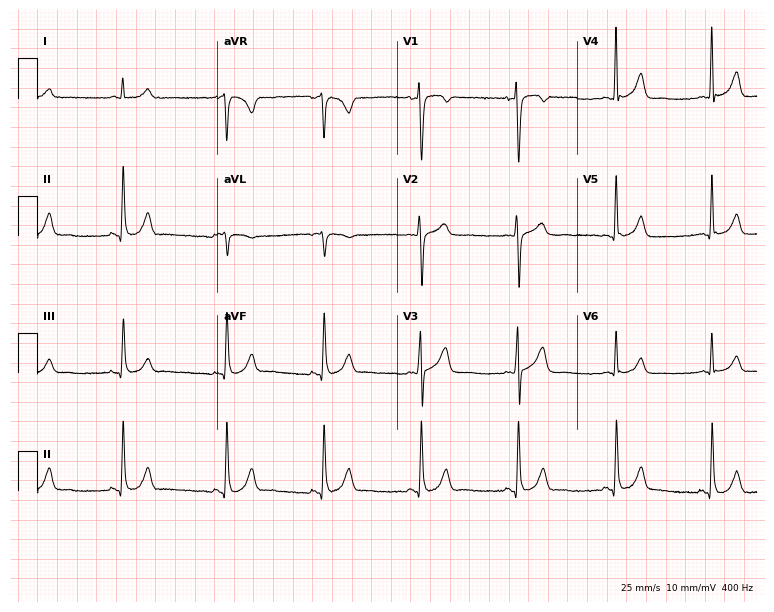
Resting 12-lead electrocardiogram (7.3-second recording at 400 Hz). Patient: a man, 46 years old. None of these six findings is recorded: first-degree AV block, right bundle branch block, left bundle branch block, sinus bradycardia, atrial fibrillation, sinus tachycardia.